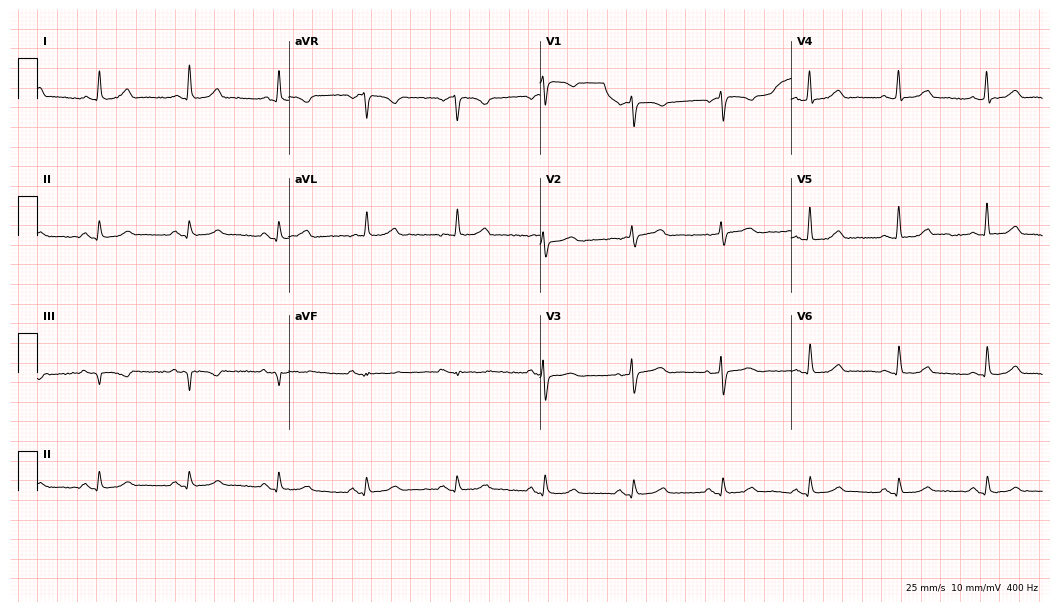
Electrocardiogram, a female, 70 years old. Overall reading on record: normal ECG.